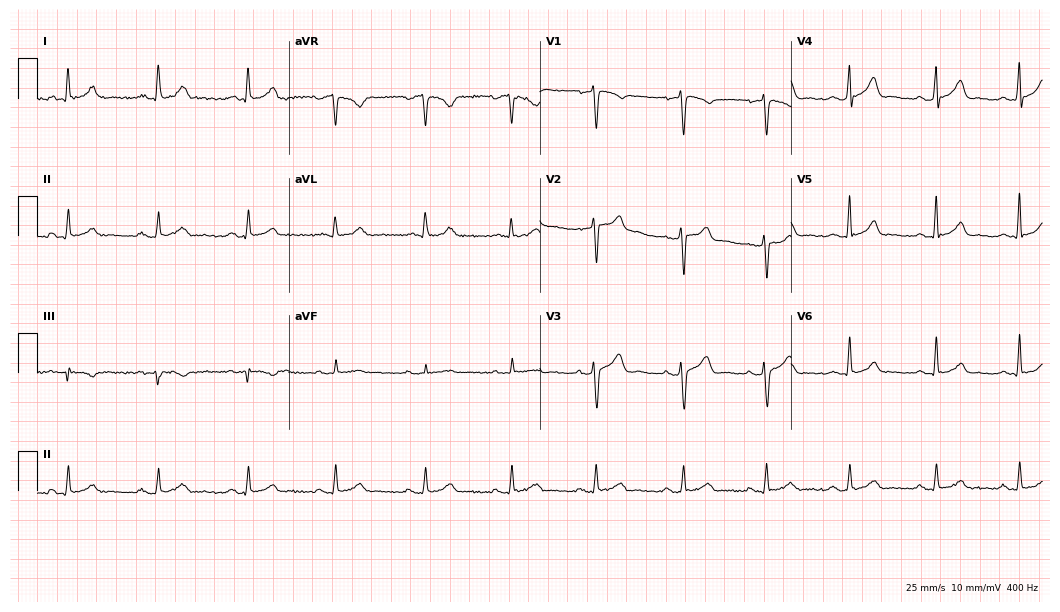
12-lead ECG from a 39-year-old male (10.2-second recording at 400 Hz). Recorded interpretation: within normal limits.